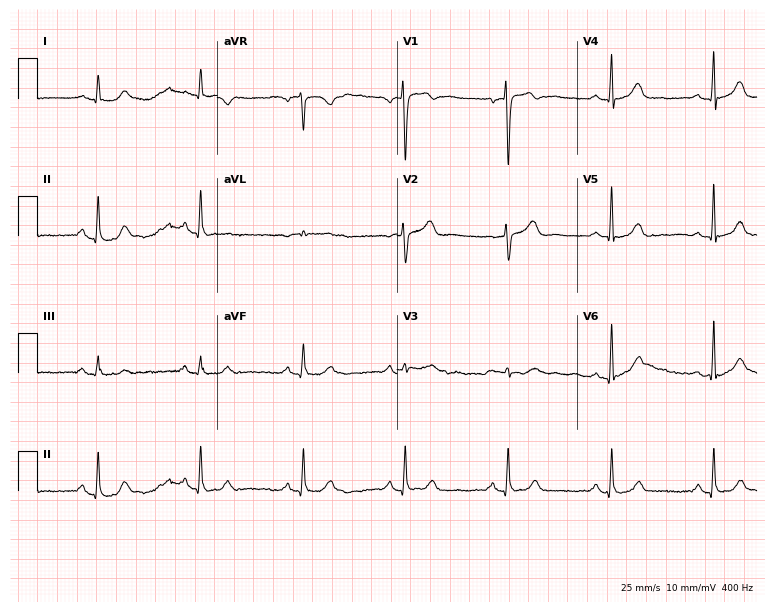
Standard 12-lead ECG recorded from a 77-year-old man (7.3-second recording at 400 Hz). Read as a normal ECG.